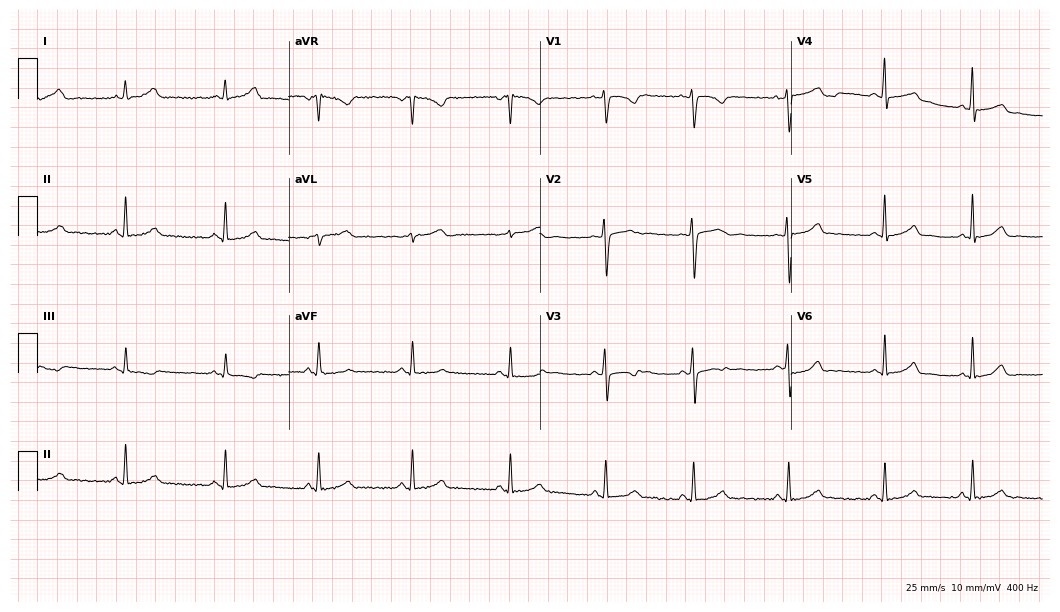
12-lead ECG from a female, 30 years old (10.2-second recording at 400 Hz). Recorded interpretation: within normal limits.